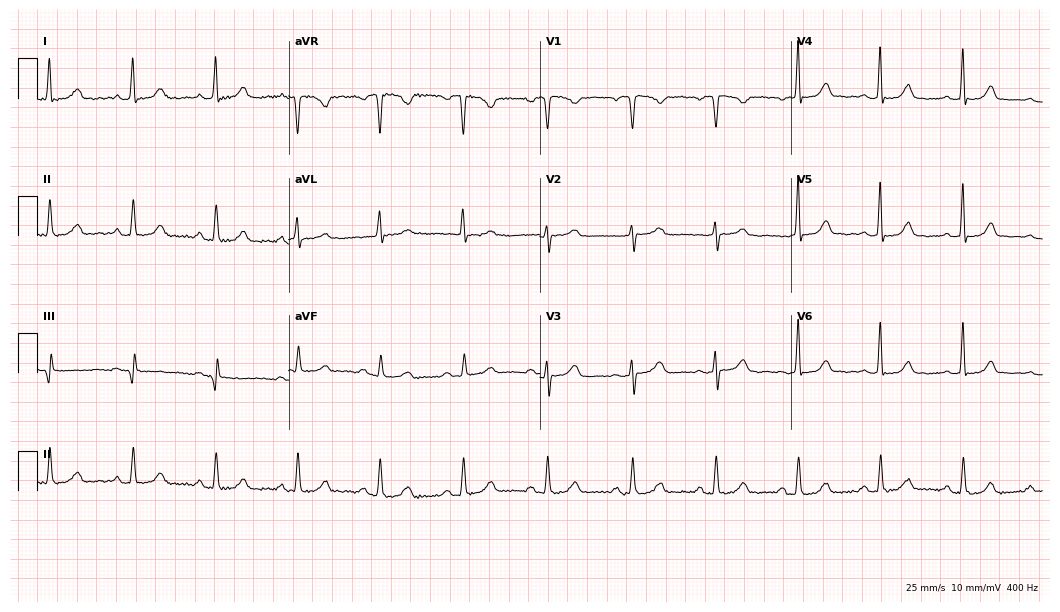
Electrocardiogram (10.2-second recording at 400 Hz), a female patient, 62 years old. Overall reading on record: normal ECG.